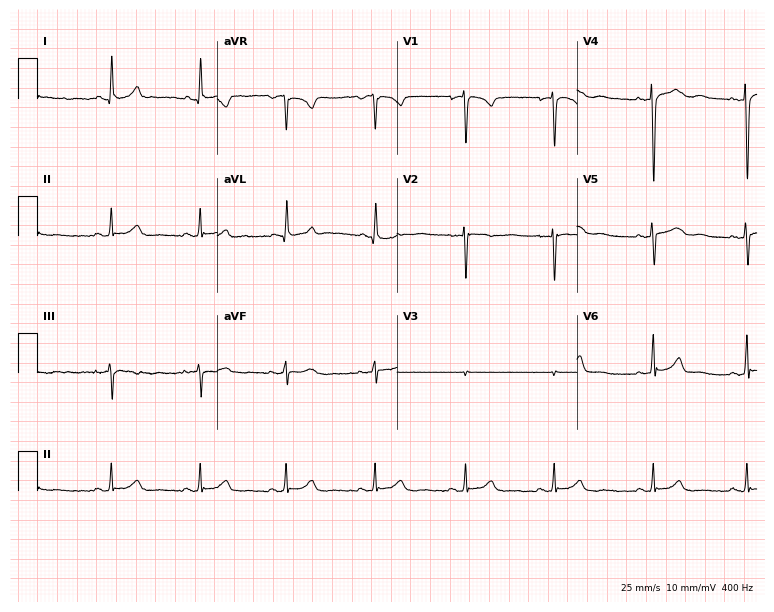
Resting 12-lead electrocardiogram (7.3-second recording at 400 Hz). Patient: a 23-year-old woman. Read as a normal ECG.